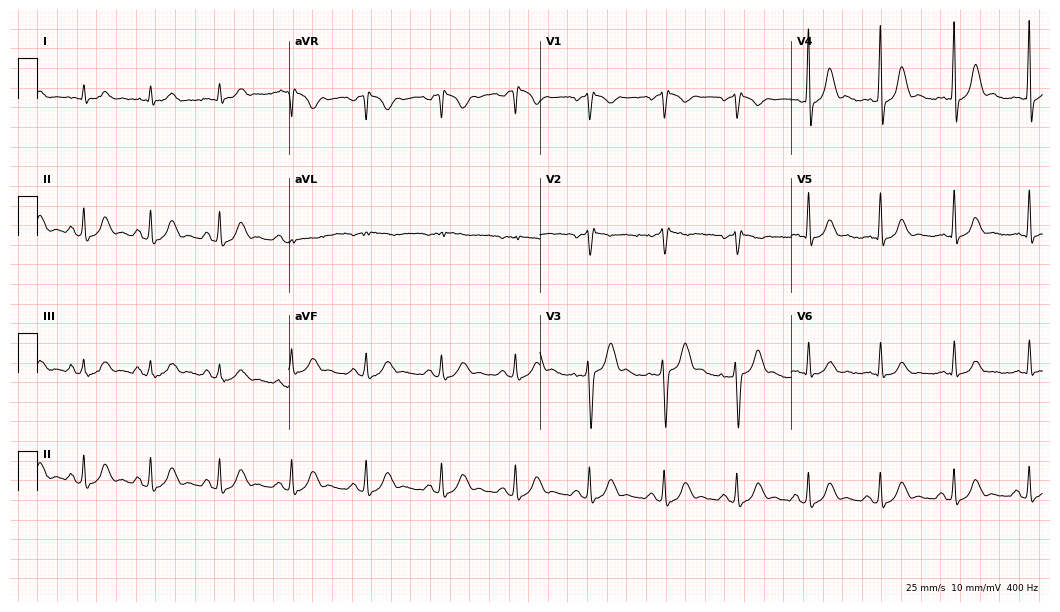
12-lead ECG from a 29-year-old male. Screened for six findings — first-degree AV block, right bundle branch block (RBBB), left bundle branch block (LBBB), sinus bradycardia, atrial fibrillation (AF), sinus tachycardia — none is recorded. Findings outside these six are not listed.